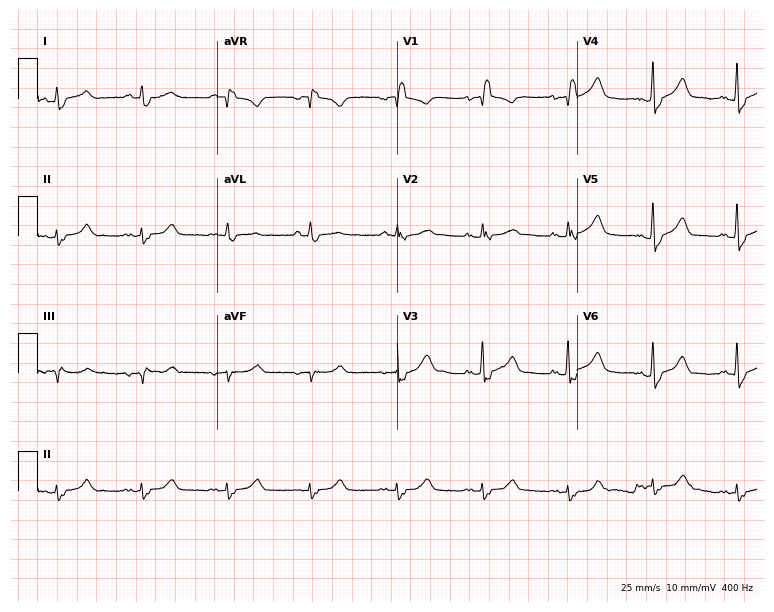
ECG — a 69-year-old male. Findings include right bundle branch block.